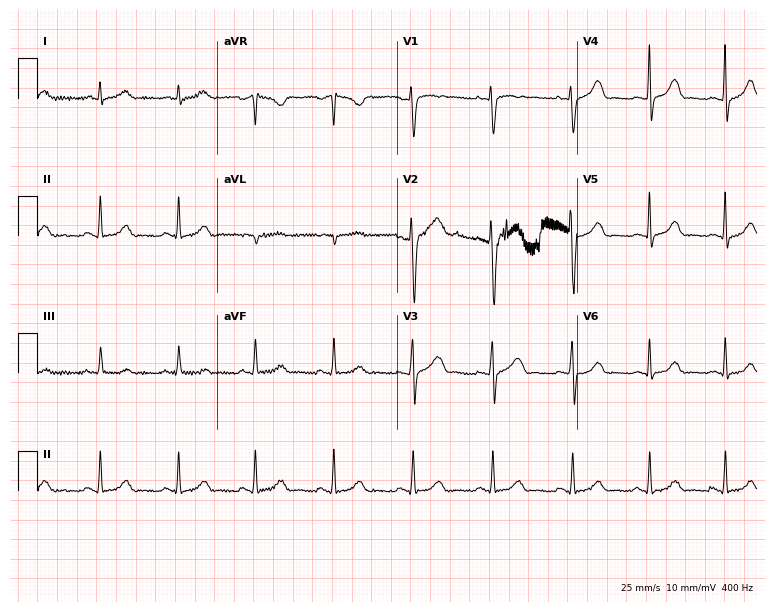
12-lead ECG from a woman, 31 years old (7.3-second recording at 400 Hz). No first-degree AV block, right bundle branch block (RBBB), left bundle branch block (LBBB), sinus bradycardia, atrial fibrillation (AF) or sinus tachycardia recorded for this tracing. Only these six findings were labelled.